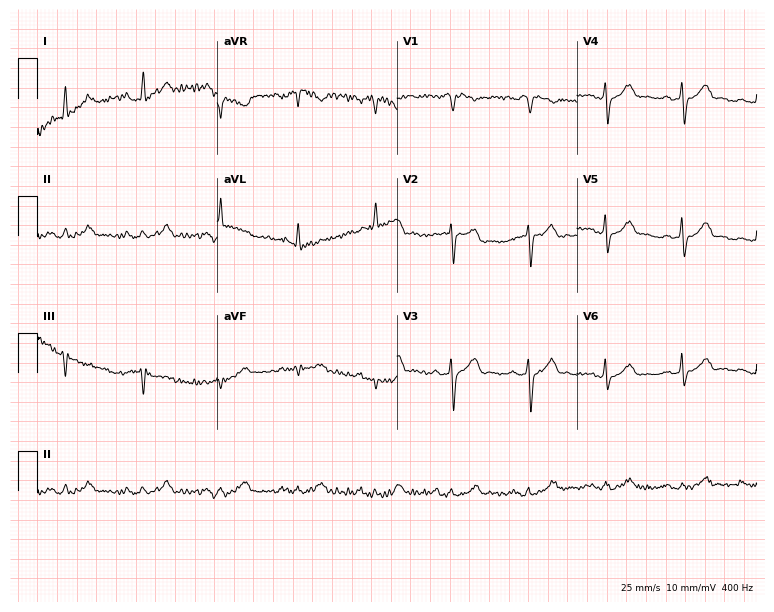
12-lead ECG from a male patient, 82 years old. Screened for six findings — first-degree AV block, right bundle branch block, left bundle branch block, sinus bradycardia, atrial fibrillation, sinus tachycardia — none is recorded.